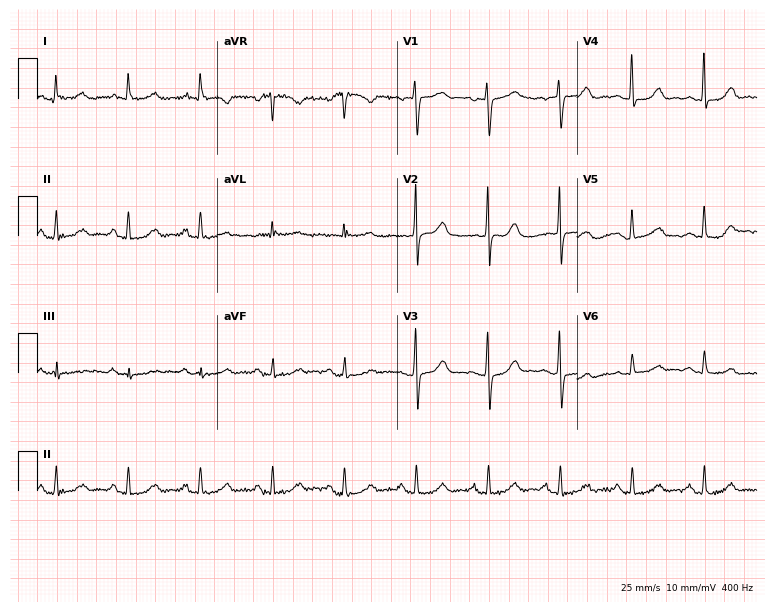
12-lead ECG from a female patient, 60 years old (7.3-second recording at 400 Hz). Recorded interpretation: within normal limits.